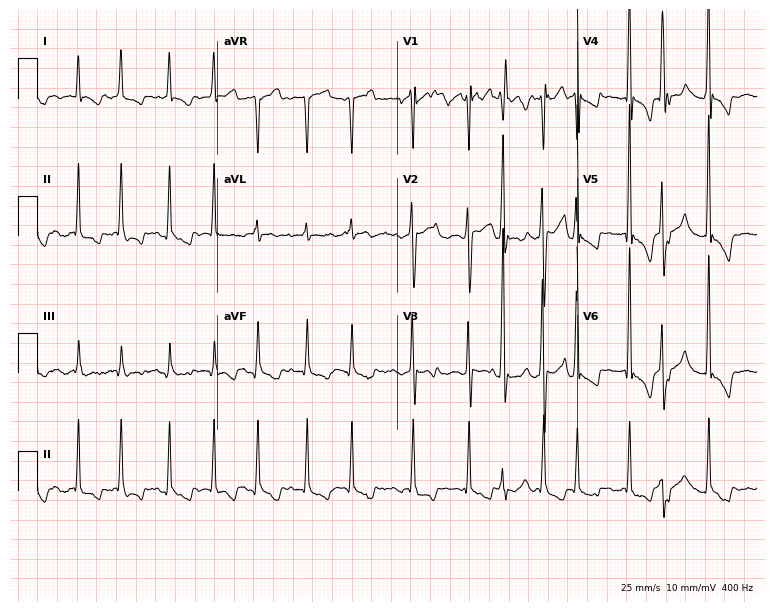
12-lead ECG from a male, 67 years old. Findings include atrial fibrillation.